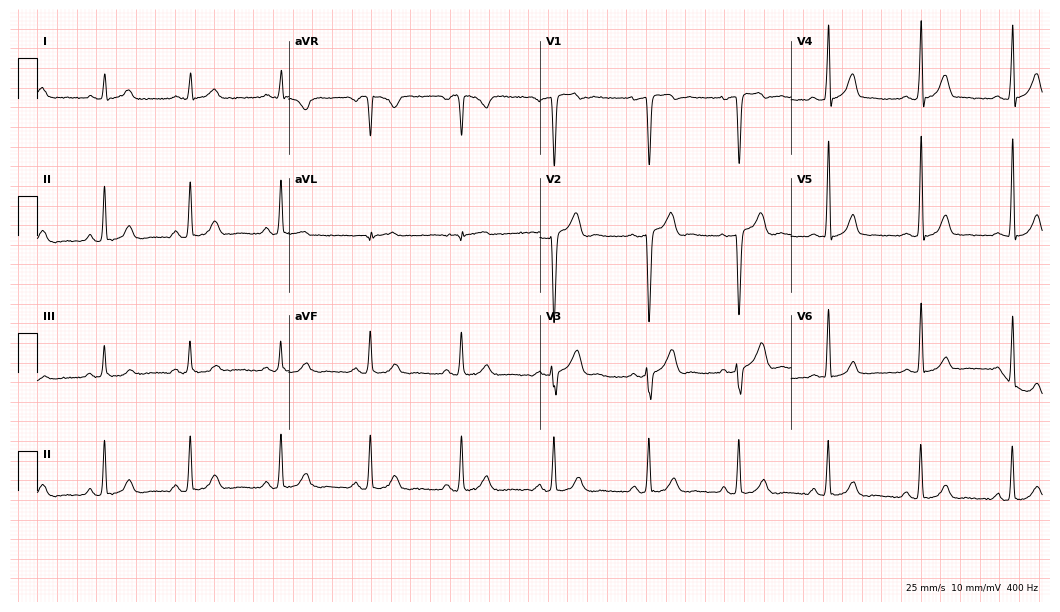
12-lead ECG from a male patient, 35 years old (10.2-second recording at 400 Hz). Recorded interpretation: within normal limits.